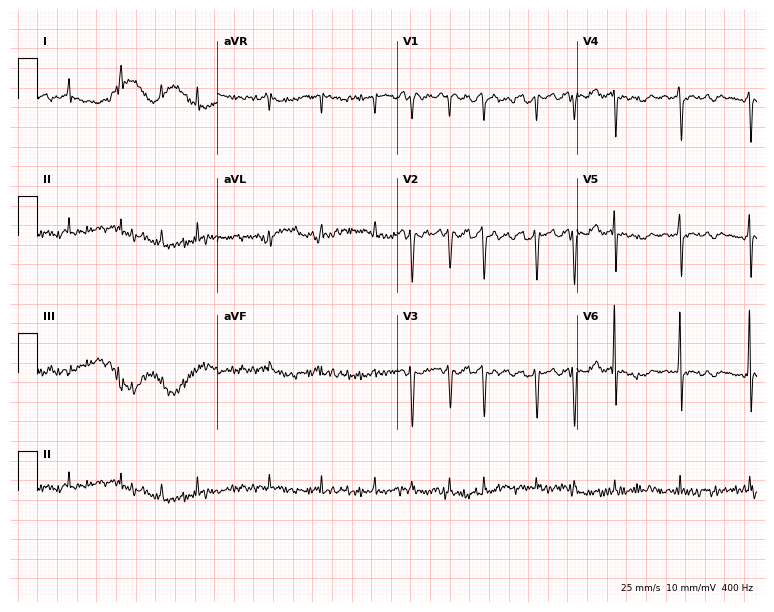
12-lead ECG from a female patient, 73 years old. Findings include atrial fibrillation.